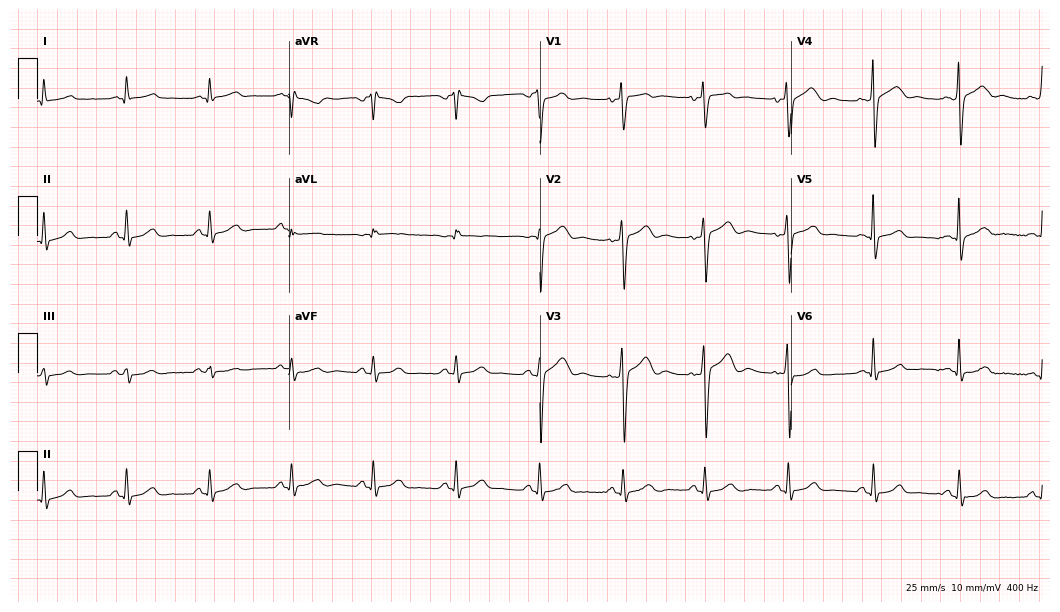
12-lead ECG (10.2-second recording at 400 Hz) from a 52-year-old male patient. Labelled as a normal ECG.